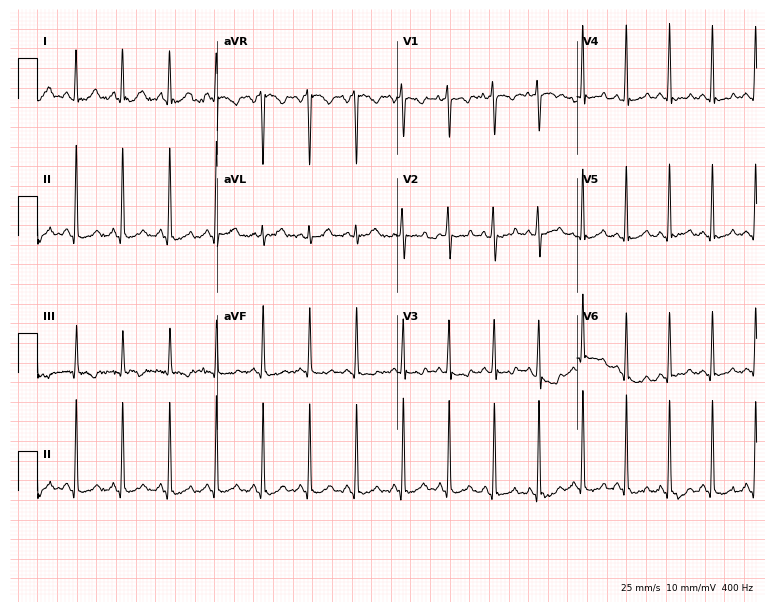
Resting 12-lead electrocardiogram (7.3-second recording at 400 Hz). Patient: a woman, 29 years old. The tracing shows sinus tachycardia (a sinus rate of 100 beats per minute or more).